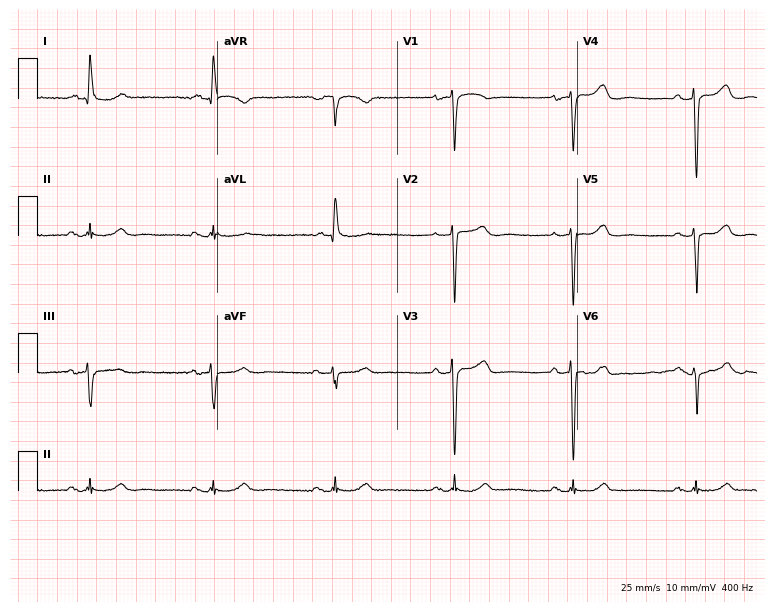
Electrocardiogram, a woman, 79 years old. Of the six screened findings (first-degree AV block, right bundle branch block (RBBB), left bundle branch block (LBBB), sinus bradycardia, atrial fibrillation (AF), sinus tachycardia), none is recorded. Findings outside these six are not listed.